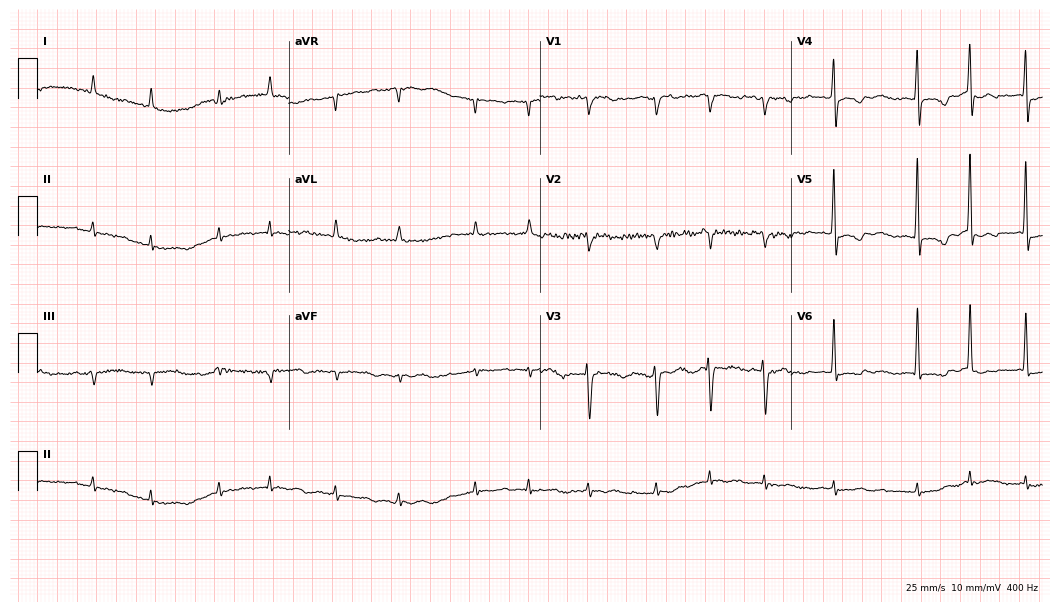
12-lead ECG (10.2-second recording at 400 Hz) from a man, 83 years old. Findings include atrial fibrillation (AF).